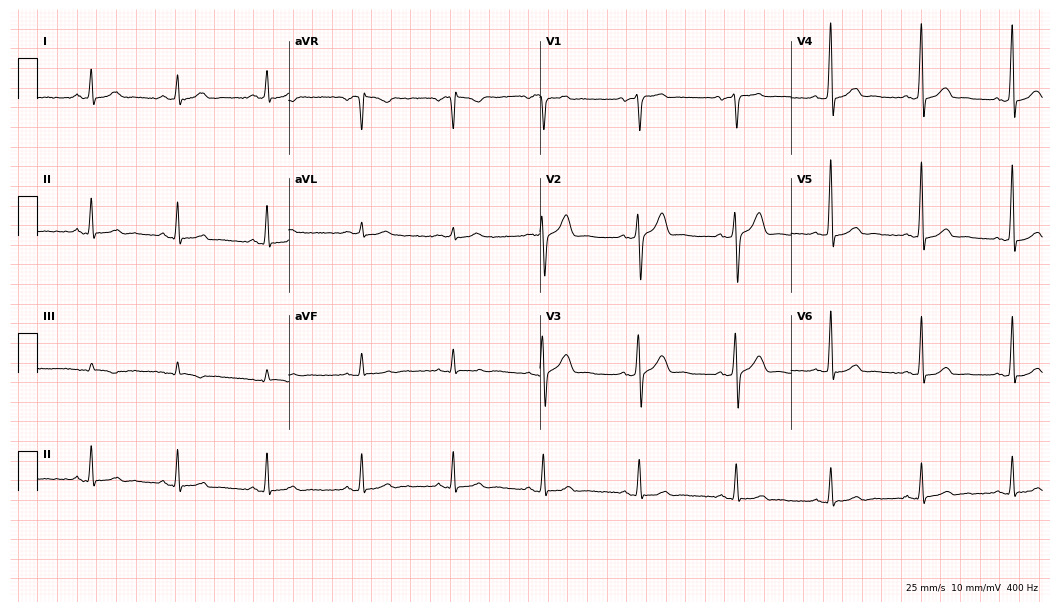
Electrocardiogram, a 66-year-old male. Of the six screened findings (first-degree AV block, right bundle branch block, left bundle branch block, sinus bradycardia, atrial fibrillation, sinus tachycardia), none is recorded.